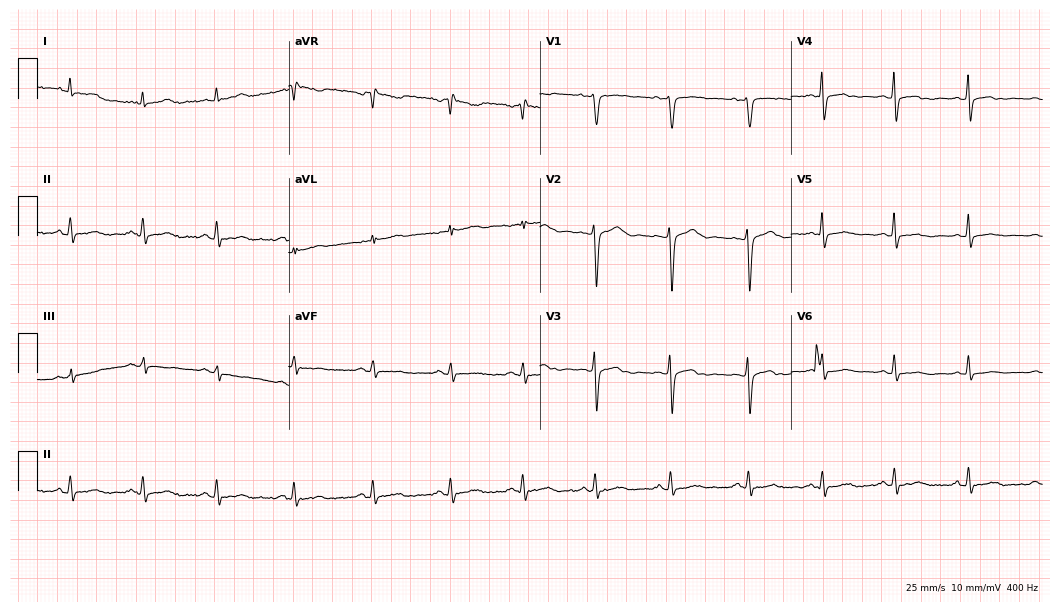
Electrocardiogram (10.2-second recording at 400 Hz), a female, 34 years old. Of the six screened findings (first-degree AV block, right bundle branch block, left bundle branch block, sinus bradycardia, atrial fibrillation, sinus tachycardia), none is recorded. Findings outside these six are not listed.